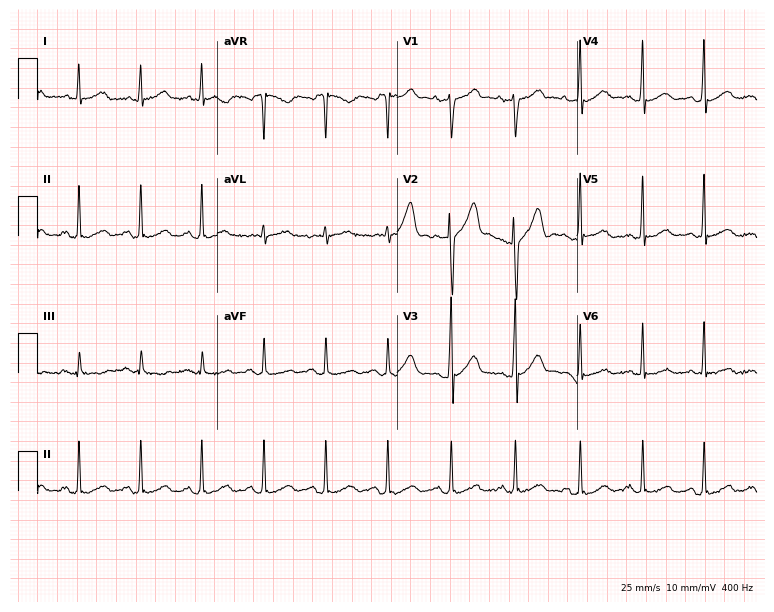
ECG (7.3-second recording at 400 Hz) — a male, 44 years old. Screened for six findings — first-degree AV block, right bundle branch block, left bundle branch block, sinus bradycardia, atrial fibrillation, sinus tachycardia — none is recorded. Only these six findings were labelled.